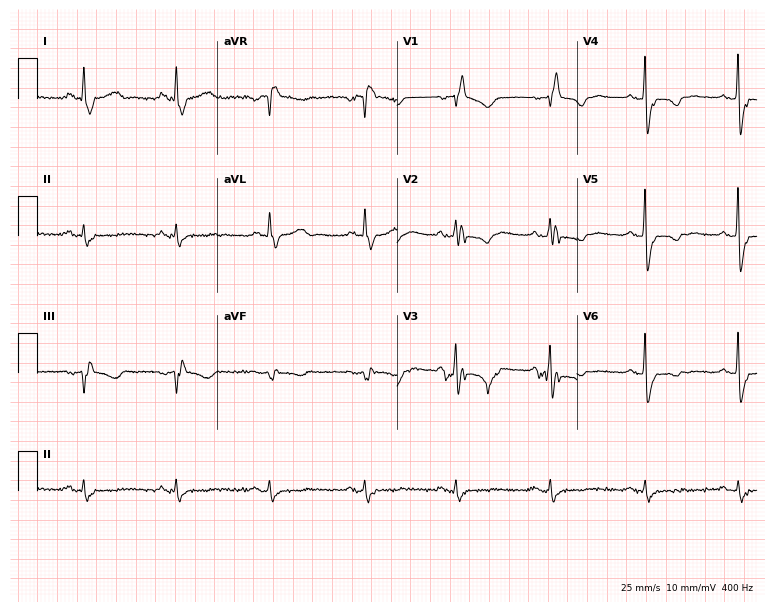
ECG — a 70-year-old female patient. Findings include right bundle branch block.